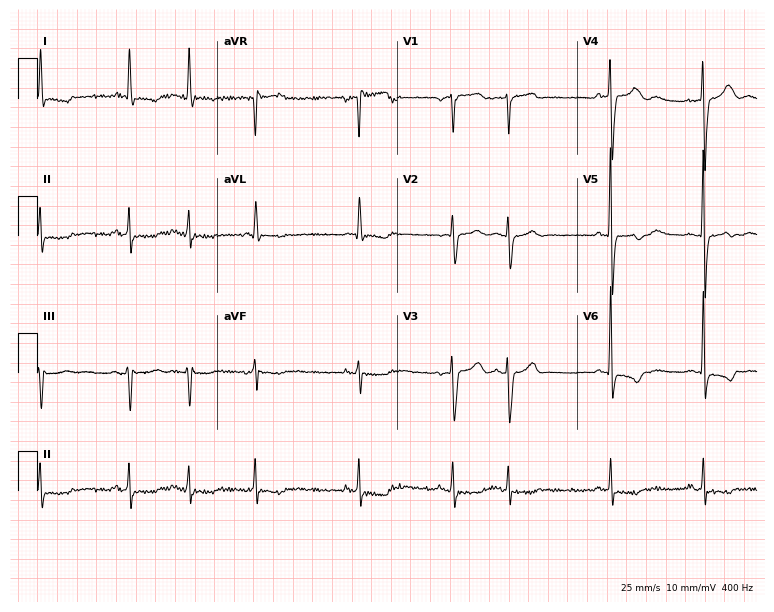
Electrocardiogram, a woman, 82 years old. Overall reading on record: normal ECG.